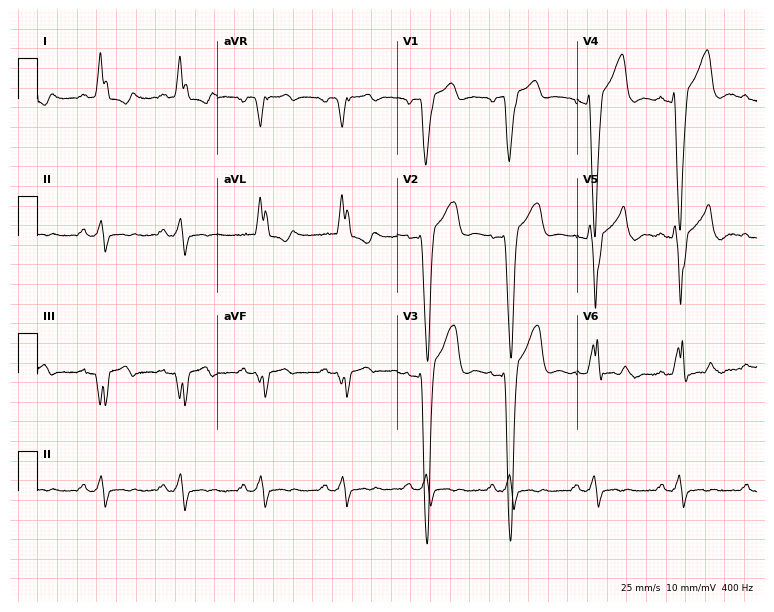
Standard 12-lead ECG recorded from a 71-year-old male (7.3-second recording at 400 Hz). The tracing shows left bundle branch block.